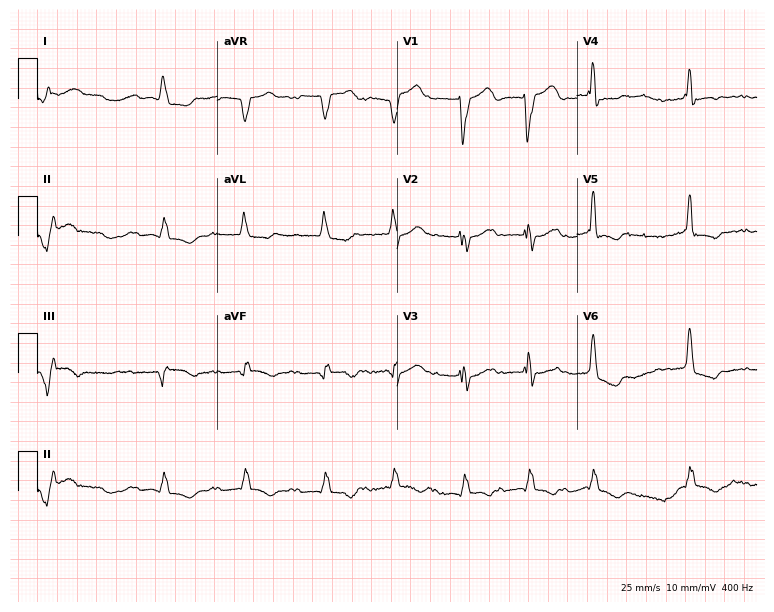
ECG (7.3-second recording at 400 Hz) — a male, 81 years old. Findings include first-degree AV block, atrial fibrillation.